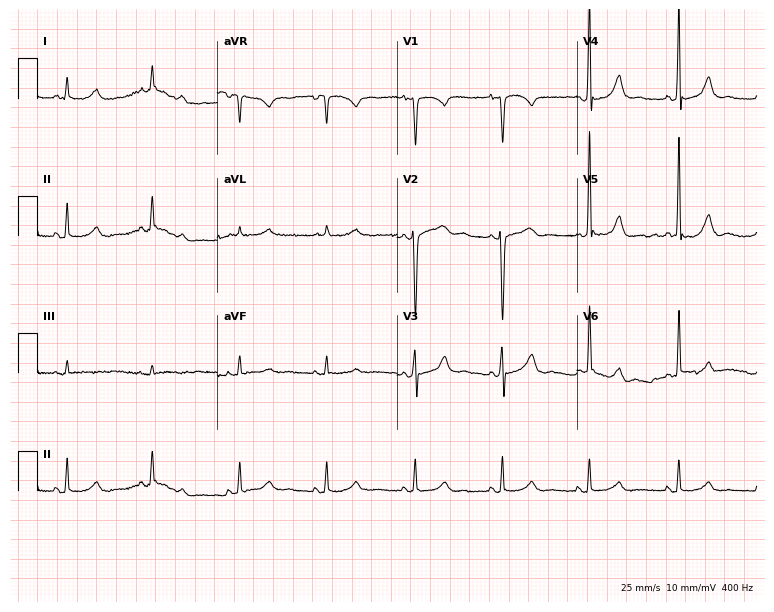
12-lead ECG from a 64-year-old woman (7.3-second recording at 400 Hz). Recorded interpretation: within normal limits.